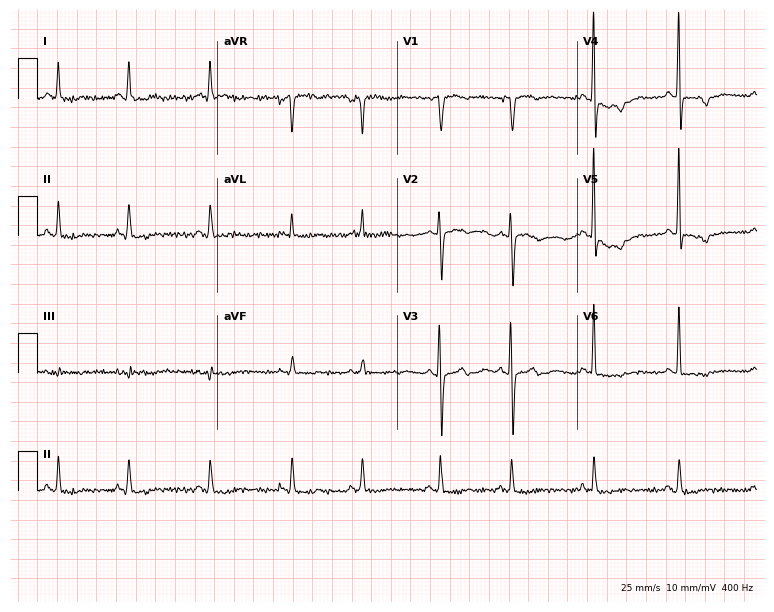
ECG (7.3-second recording at 400 Hz) — a 68-year-old female patient. Screened for six findings — first-degree AV block, right bundle branch block, left bundle branch block, sinus bradycardia, atrial fibrillation, sinus tachycardia — none is recorded.